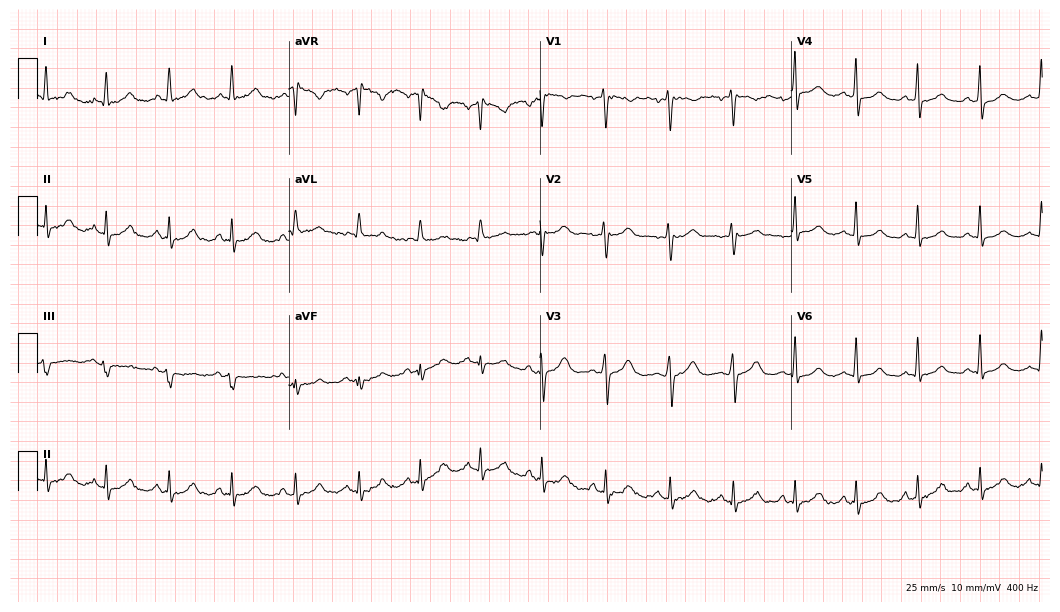
Electrocardiogram (10.2-second recording at 400 Hz), a 39-year-old woman. Of the six screened findings (first-degree AV block, right bundle branch block, left bundle branch block, sinus bradycardia, atrial fibrillation, sinus tachycardia), none is recorded.